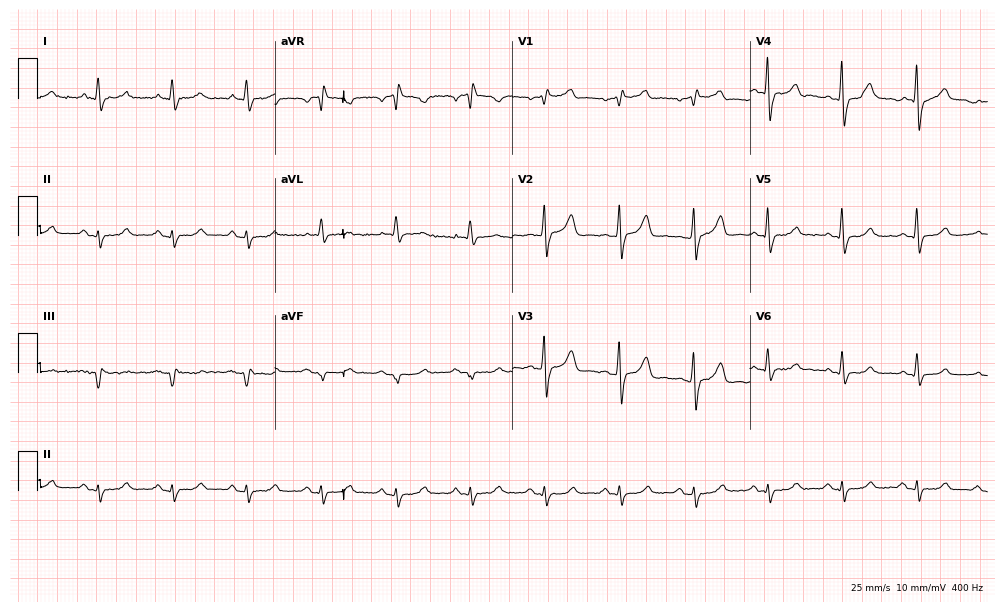
ECG (9.7-second recording at 400 Hz) — a 78-year-old male. Screened for six findings — first-degree AV block, right bundle branch block (RBBB), left bundle branch block (LBBB), sinus bradycardia, atrial fibrillation (AF), sinus tachycardia — none is recorded. Findings outside these six are not listed.